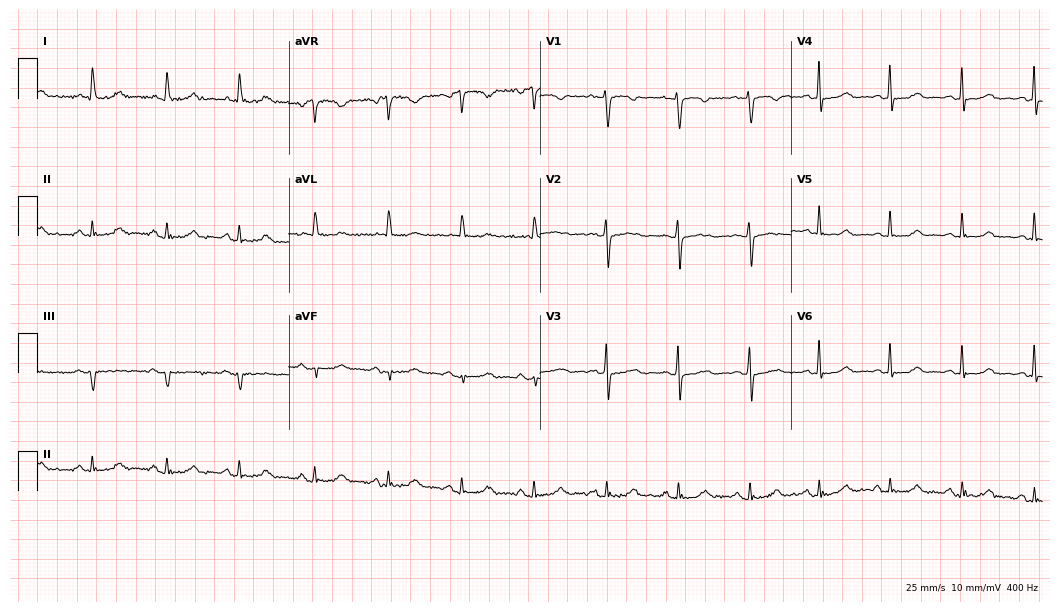
12-lead ECG (10.2-second recording at 400 Hz) from a 60-year-old female. Screened for six findings — first-degree AV block, right bundle branch block, left bundle branch block, sinus bradycardia, atrial fibrillation, sinus tachycardia — none is recorded. Only these six findings were labelled.